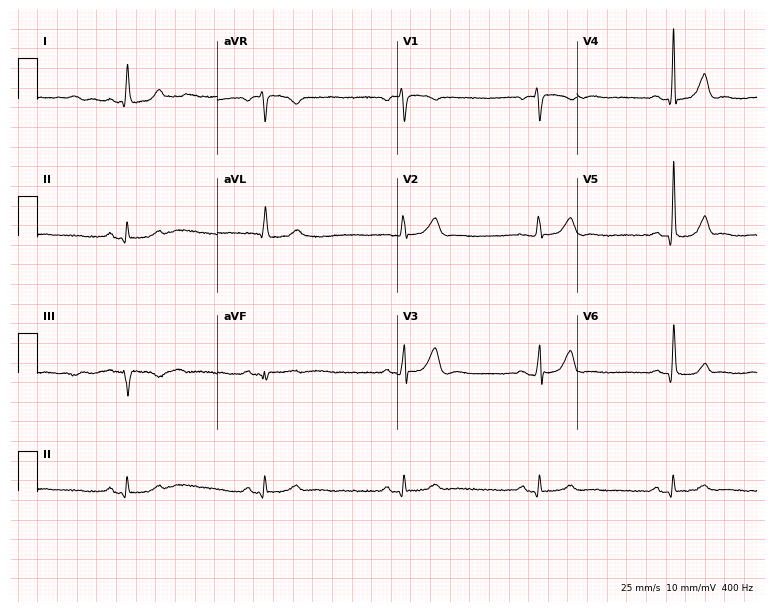
Electrocardiogram, a 61-year-old man. Of the six screened findings (first-degree AV block, right bundle branch block, left bundle branch block, sinus bradycardia, atrial fibrillation, sinus tachycardia), none is recorded.